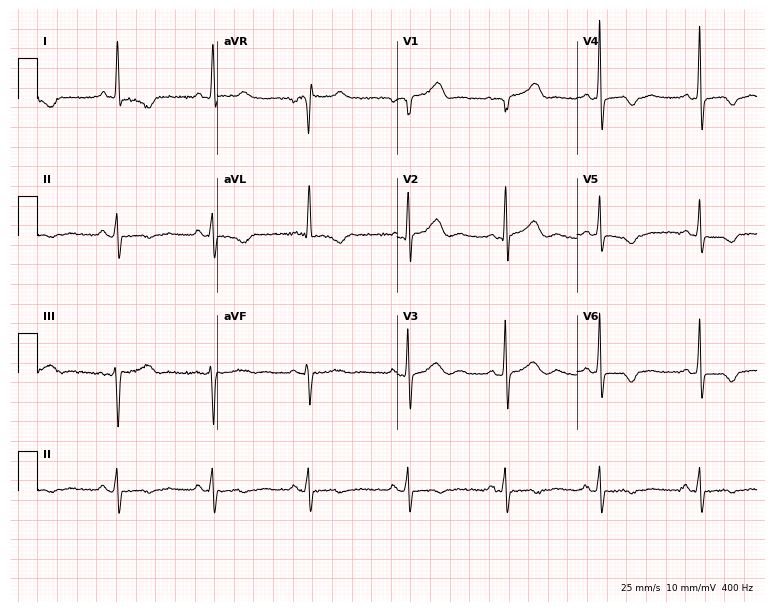
ECG — a 62-year-old woman. Screened for six findings — first-degree AV block, right bundle branch block (RBBB), left bundle branch block (LBBB), sinus bradycardia, atrial fibrillation (AF), sinus tachycardia — none is recorded. Other findings, if any, are not listed.